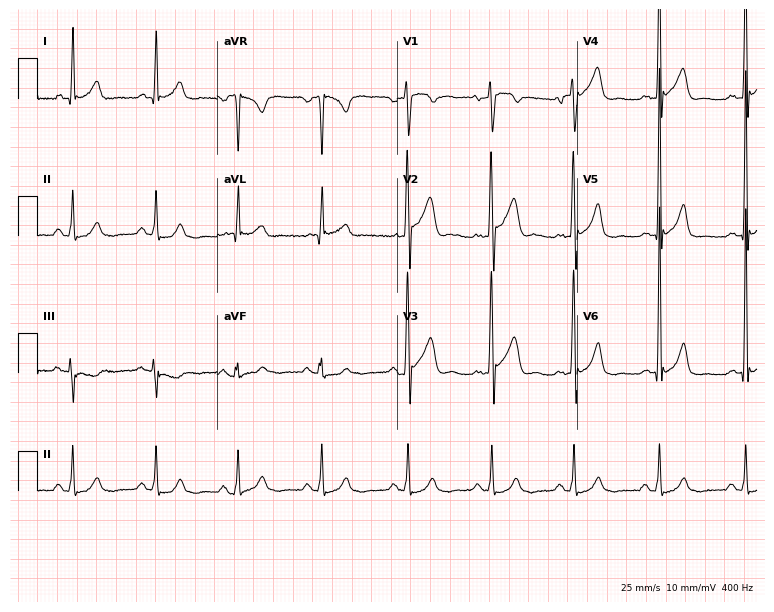
12-lead ECG from a man, 50 years old. Labelled as a normal ECG.